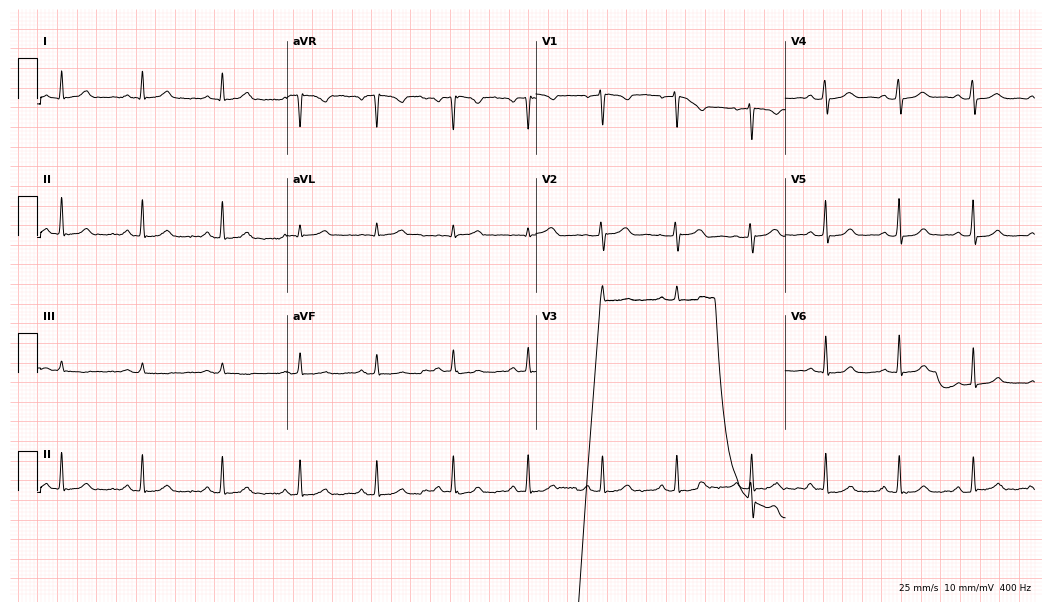
Standard 12-lead ECG recorded from a female patient, 43 years old (10.2-second recording at 400 Hz). Read as a normal ECG.